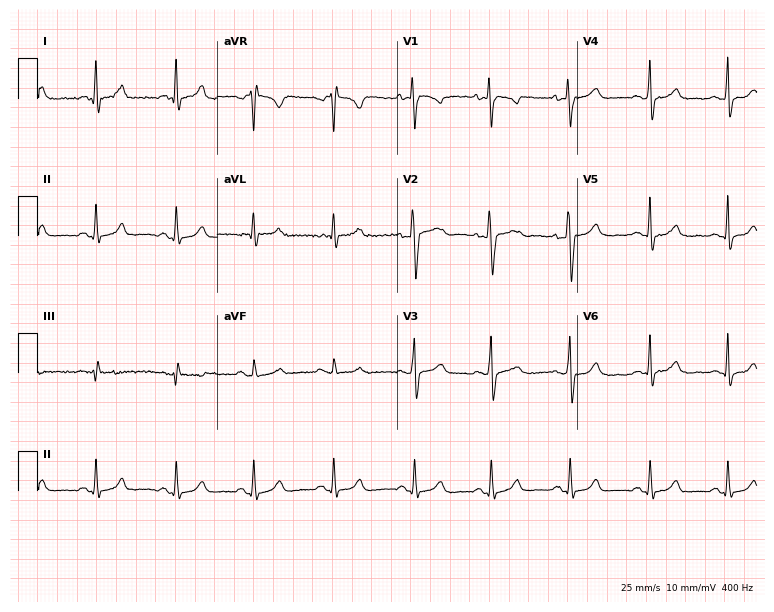
12-lead ECG from a 26-year-old man. Recorded interpretation: within normal limits.